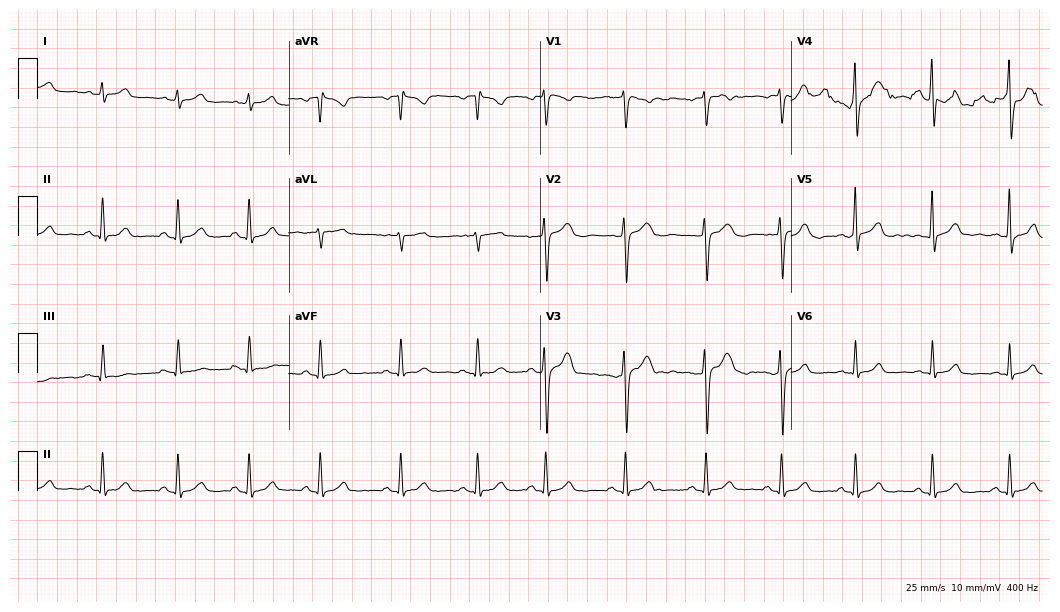
12-lead ECG from a female patient, 25 years old (10.2-second recording at 400 Hz). Recorded interpretation: within normal limits.